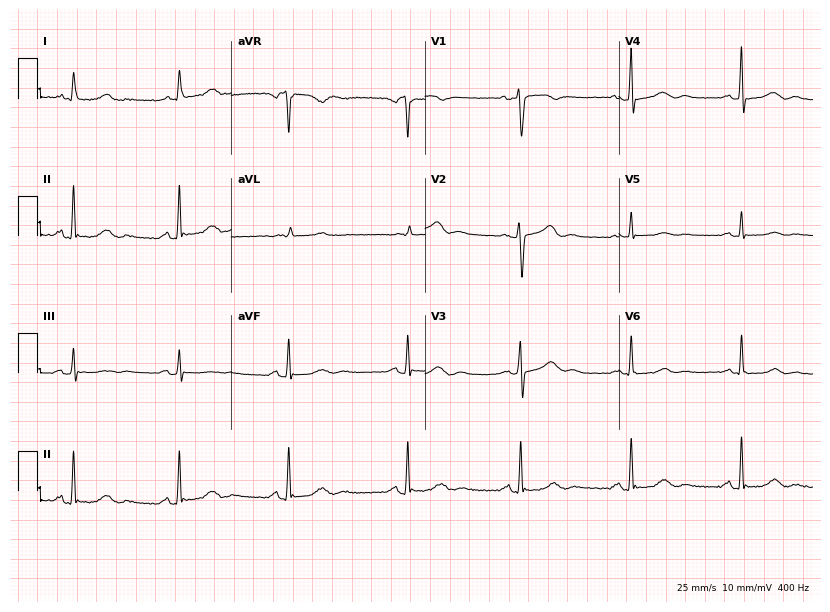
12-lead ECG (7.9-second recording at 400 Hz) from a male, 56 years old. Screened for six findings — first-degree AV block, right bundle branch block (RBBB), left bundle branch block (LBBB), sinus bradycardia, atrial fibrillation (AF), sinus tachycardia — none is recorded.